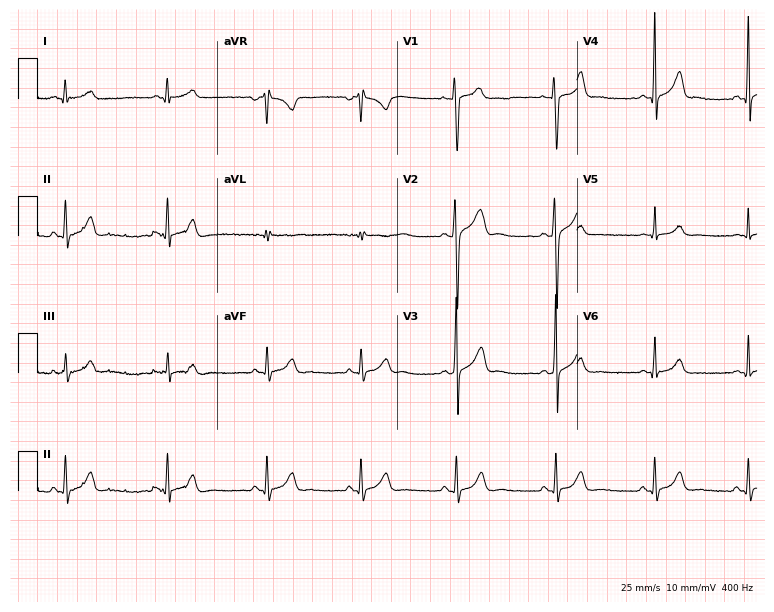
12-lead ECG from a 22-year-old man. Recorded interpretation: within normal limits.